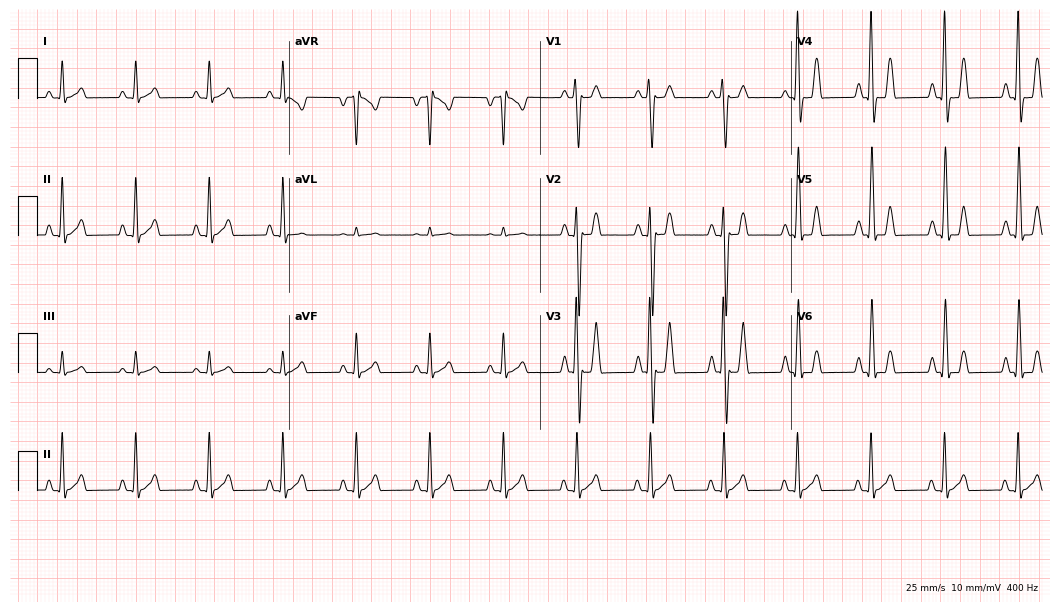
12-lead ECG from a male, 34 years old. Screened for six findings — first-degree AV block, right bundle branch block, left bundle branch block, sinus bradycardia, atrial fibrillation, sinus tachycardia — none is recorded.